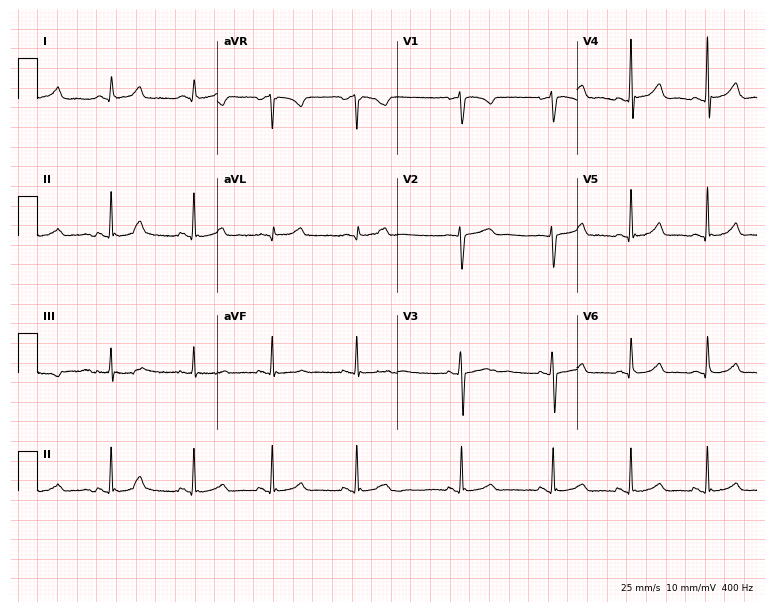
12-lead ECG from a female patient, 30 years old (7.3-second recording at 400 Hz). Recorded interpretation: within normal limits.